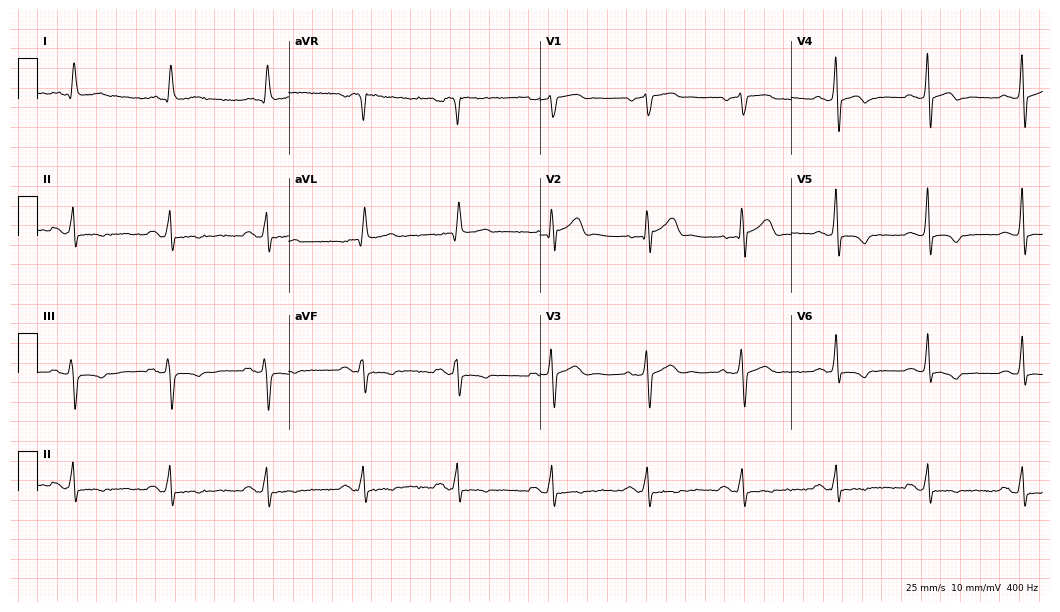
12-lead ECG from a male patient, 79 years old. Screened for six findings — first-degree AV block, right bundle branch block, left bundle branch block, sinus bradycardia, atrial fibrillation, sinus tachycardia — none is recorded.